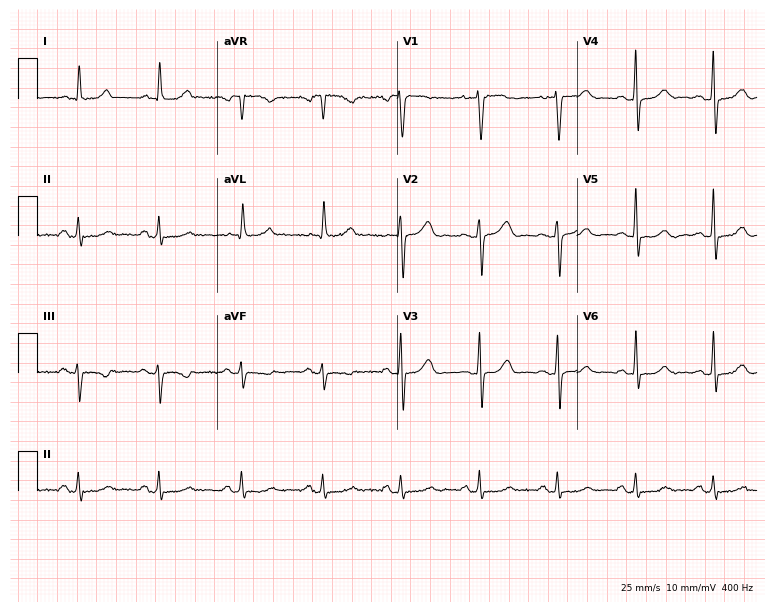
12-lead ECG (7.3-second recording at 400 Hz) from a female patient, 61 years old. Screened for six findings — first-degree AV block, right bundle branch block (RBBB), left bundle branch block (LBBB), sinus bradycardia, atrial fibrillation (AF), sinus tachycardia — none is recorded.